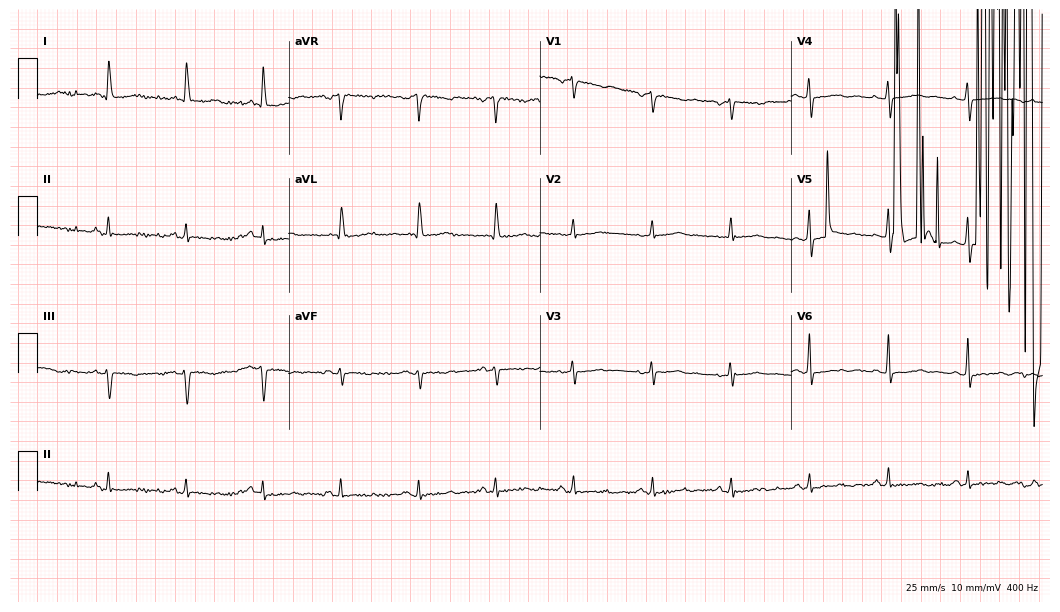
ECG — a 73-year-old female. Screened for six findings — first-degree AV block, right bundle branch block, left bundle branch block, sinus bradycardia, atrial fibrillation, sinus tachycardia — none is recorded. Only these six findings were labelled.